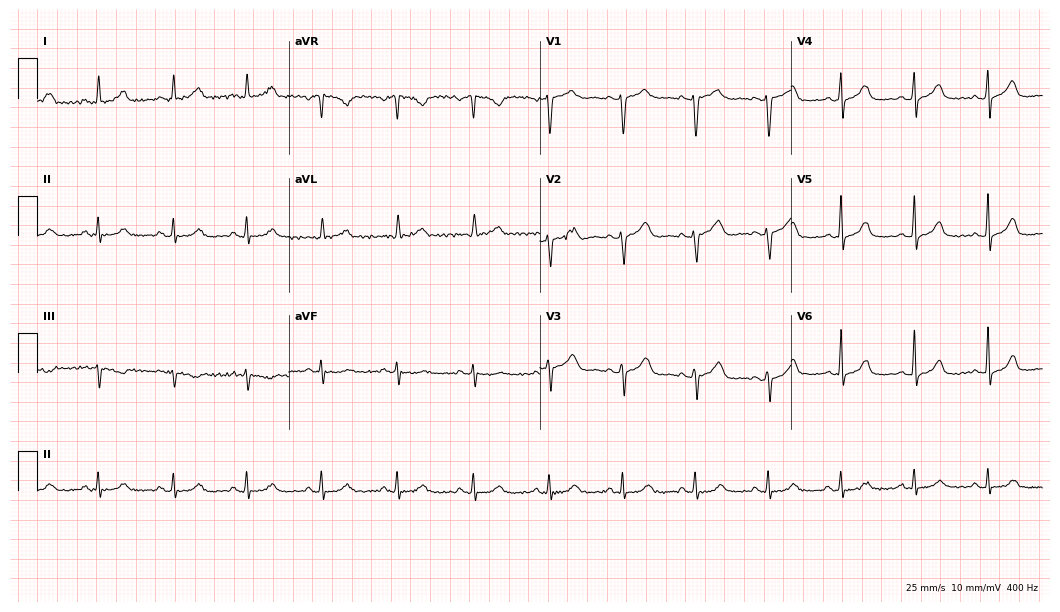
Electrocardiogram, a woman, 46 years old. Overall reading on record: normal ECG.